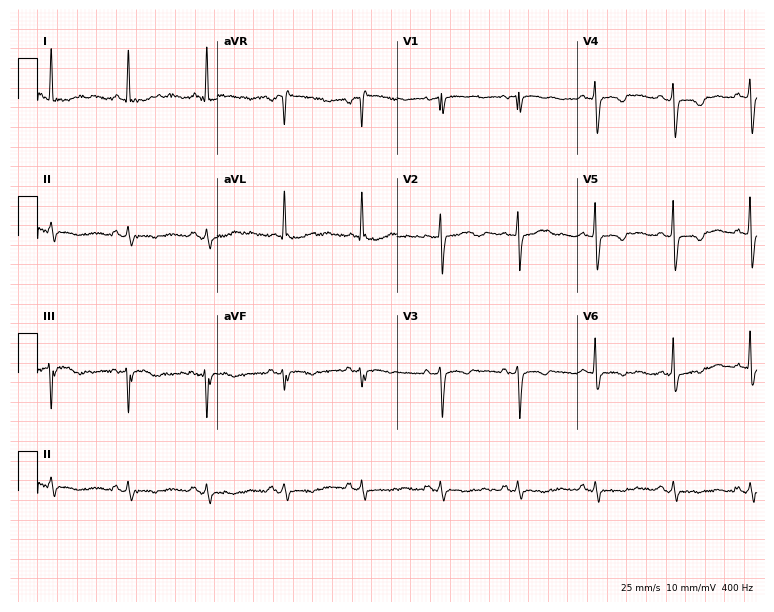
Resting 12-lead electrocardiogram. Patient: a female, 79 years old. None of these six findings is recorded: first-degree AV block, right bundle branch block, left bundle branch block, sinus bradycardia, atrial fibrillation, sinus tachycardia.